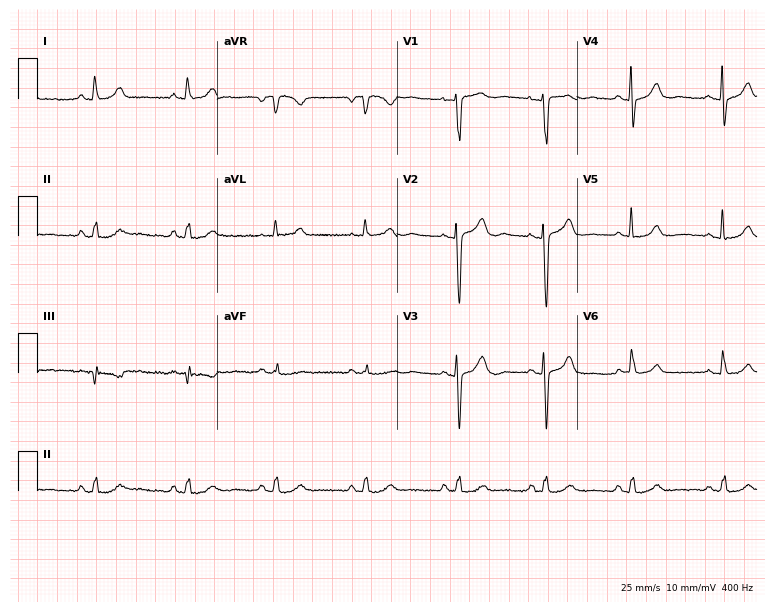
ECG (7.3-second recording at 400 Hz) — a 63-year-old female. Screened for six findings — first-degree AV block, right bundle branch block, left bundle branch block, sinus bradycardia, atrial fibrillation, sinus tachycardia — none is recorded. Findings outside these six are not listed.